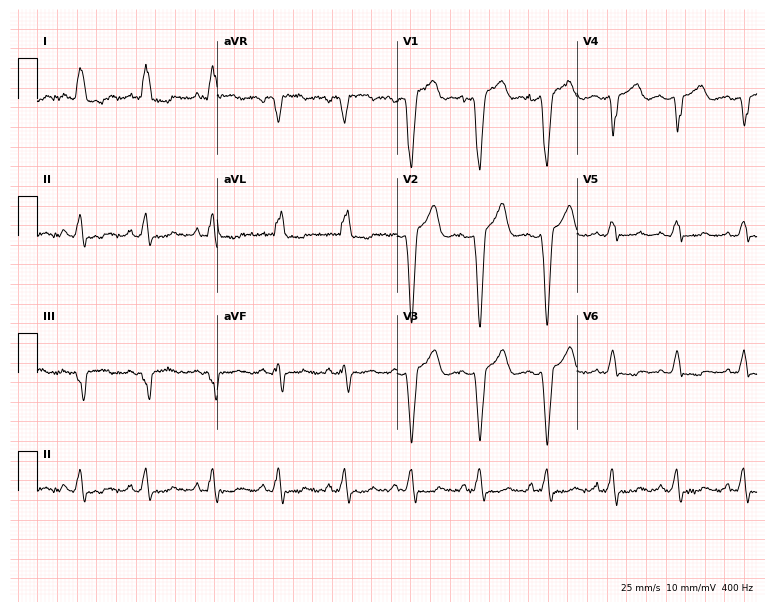
12-lead ECG (7.3-second recording at 400 Hz) from a 48-year-old female. Findings include left bundle branch block (LBBB).